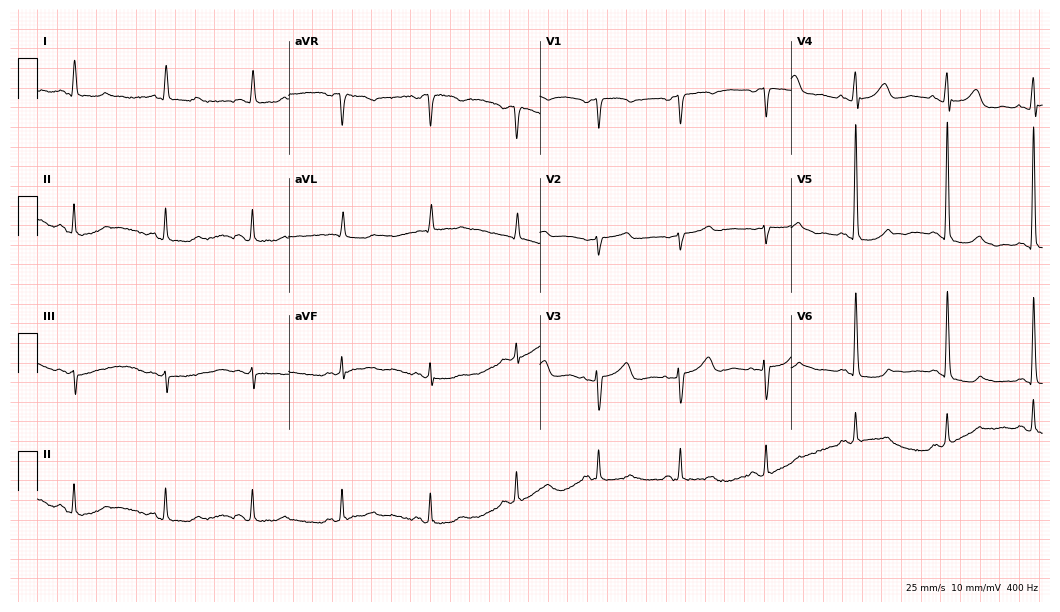
Resting 12-lead electrocardiogram (10.2-second recording at 400 Hz). Patient: a woman, 73 years old. Read as a normal ECG.